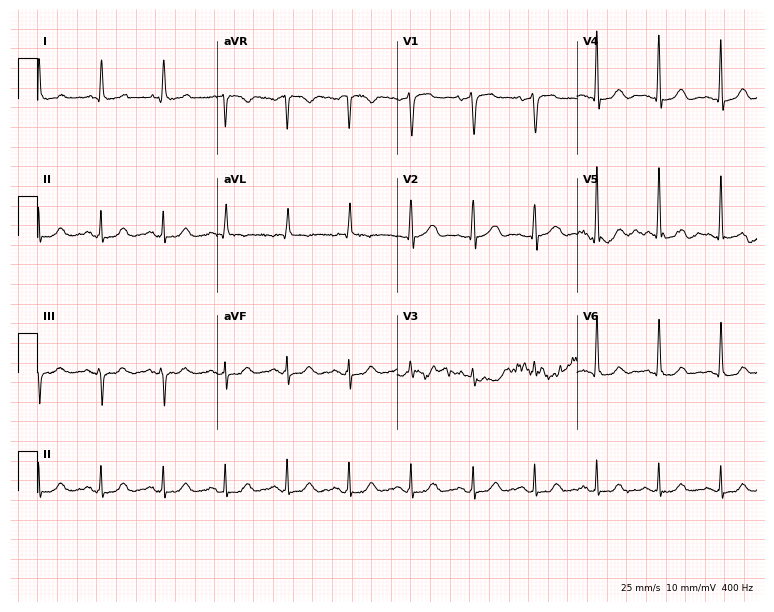
ECG — a man, 74 years old. Labelled as a normal ECG.